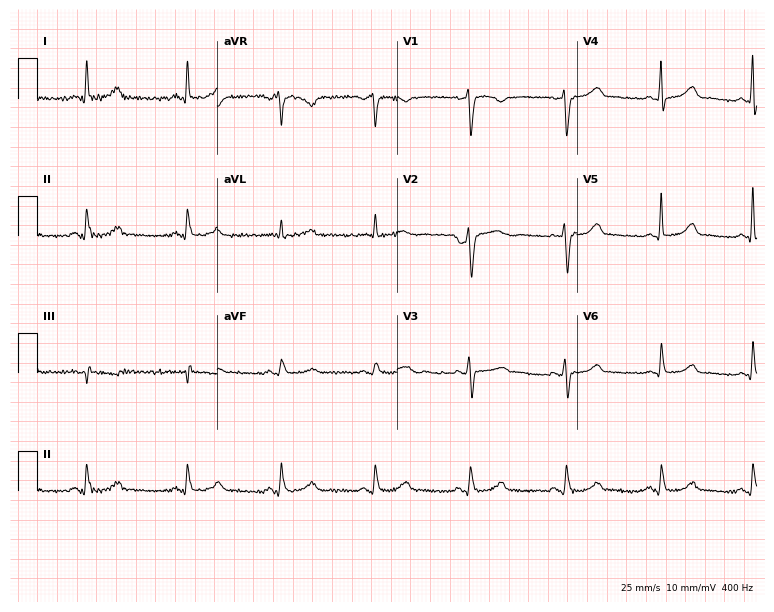
ECG — a female, 65 years old. Labelled as a normal ECG.